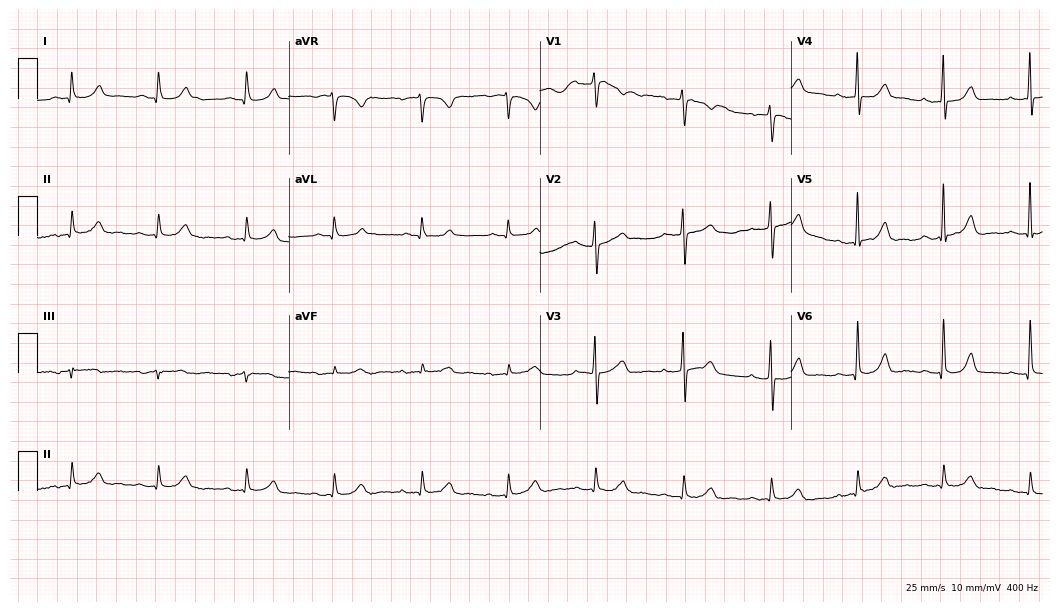
12-lead ECG from an 81-year-old female patient (10.2-second recording at 400 Hz). Recorded interpretation: within normal limits.